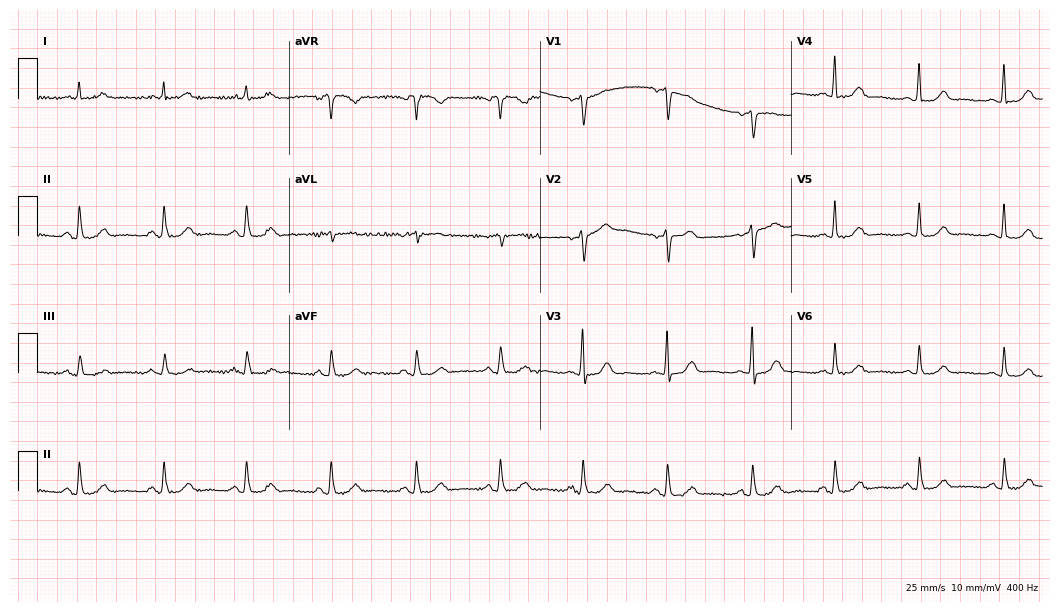
Standard 12-lead ECG recorded from a female patient, 61 years old. Read as a normal ECG.